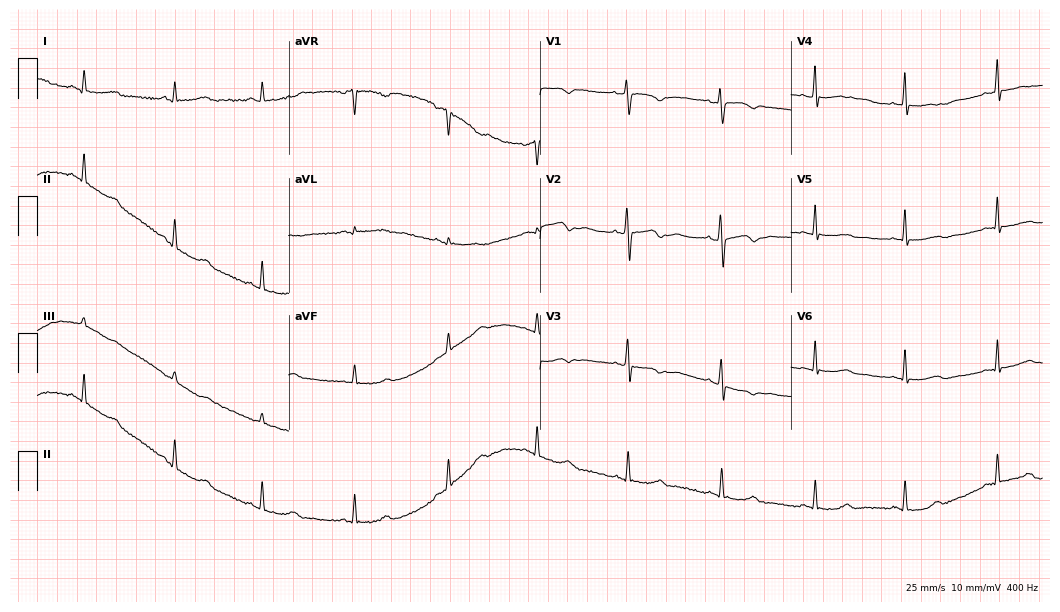
12-lead ECG from a female, 45 years old. Screened for six findings — first-degree AV block, right bundle branch block, left bundle branch block, sinus bradycardia, atrial fibrillation, sinus tachycardia — none is recorded. Findings outside these six are not listed.